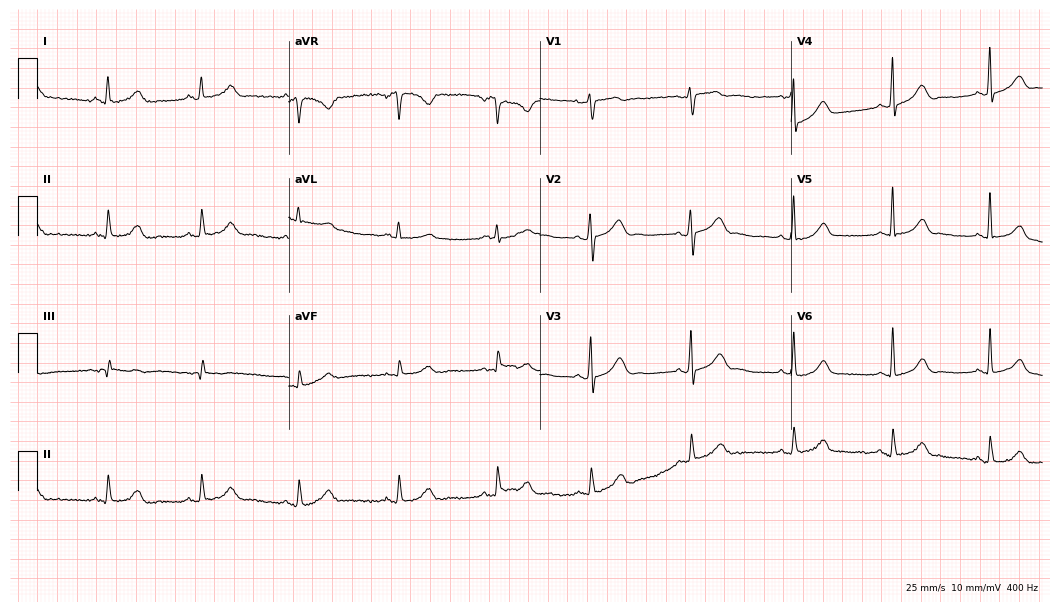
12-lead ECG from a female, 38 years old. No first-degree AV block, right bundle branch block (RBBB), left bundle branch block (LBBB), sinus bradycardia, atrial fibrillation (AF) or sinus tachycardia recorded for this tracing. Other findings, if any, are not listed.